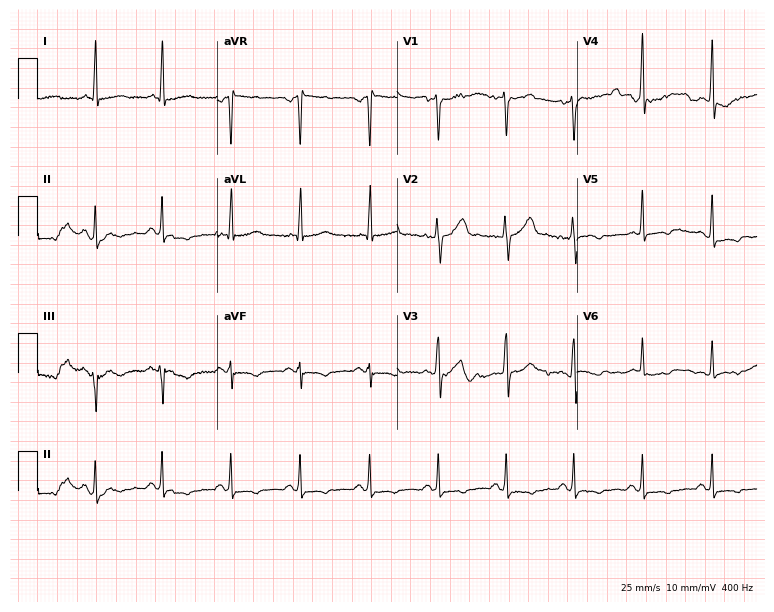
12-lead ECG from a male patient, 48 years old. Screened for six findings — first-degree AV block, right bundle branch block, left bundle branch block, sinus bradycardia, atrial fibrillation, sinus tachycardia — none is recorded. Findings outside these six are not listed.